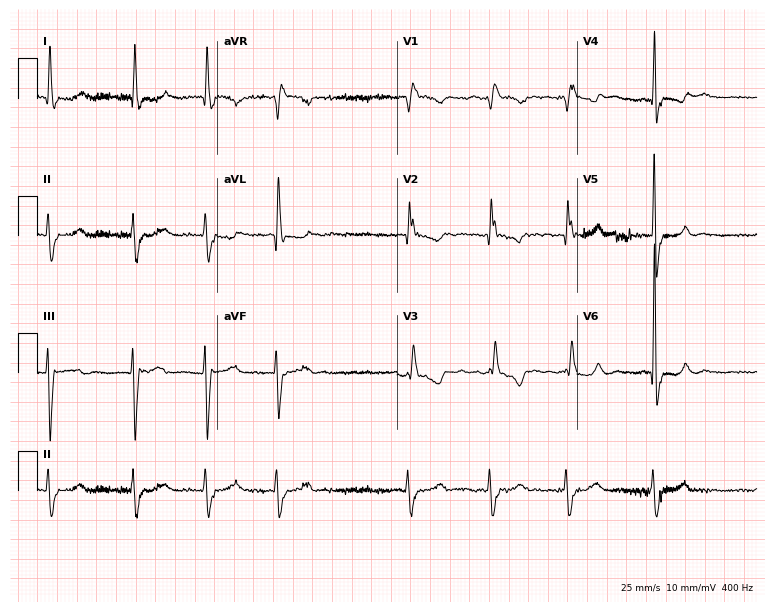
Electrocardiogram, a female patient, 69 years old. Interpretation includes right bundle branch block, atrial fibrillation.